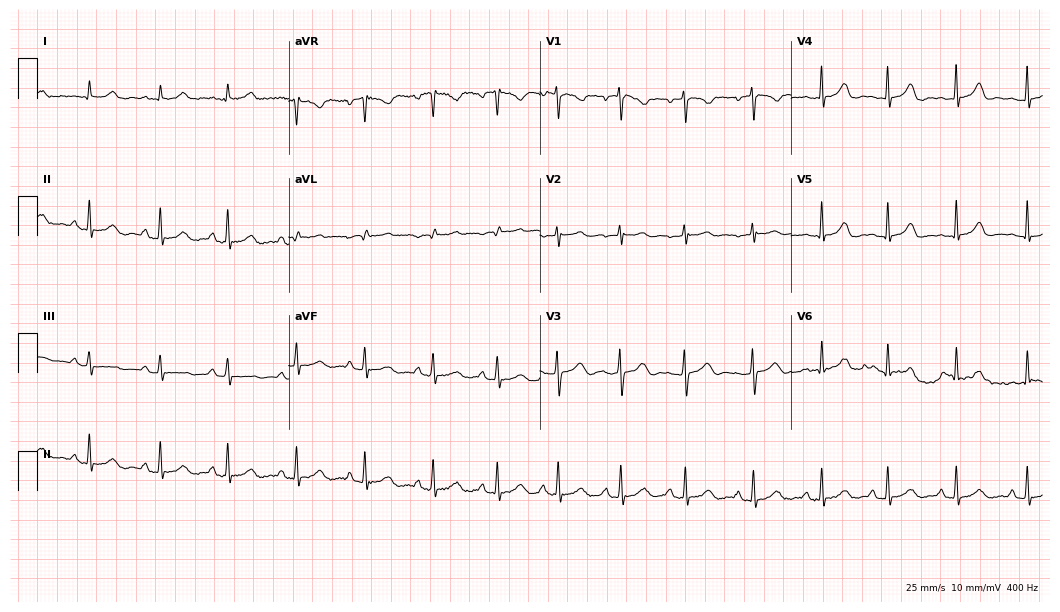
ECG (10.2-second recording at 400 Hz) — a female, 19 years old. Labelled as a normal ECG.